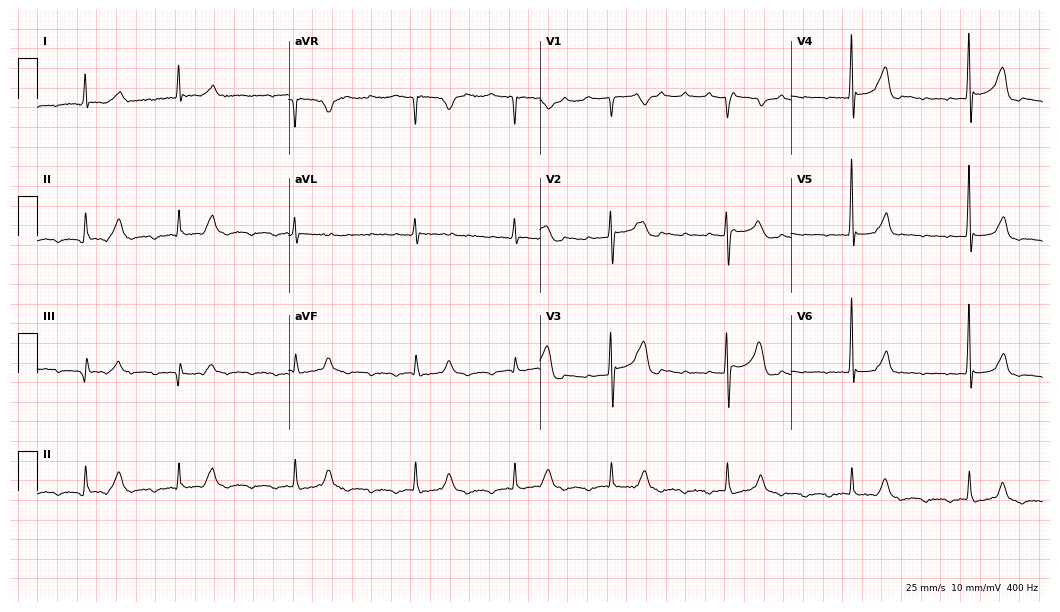
12-lead ECG from a 79-year-old male patient. Shows atrial fibrillation.